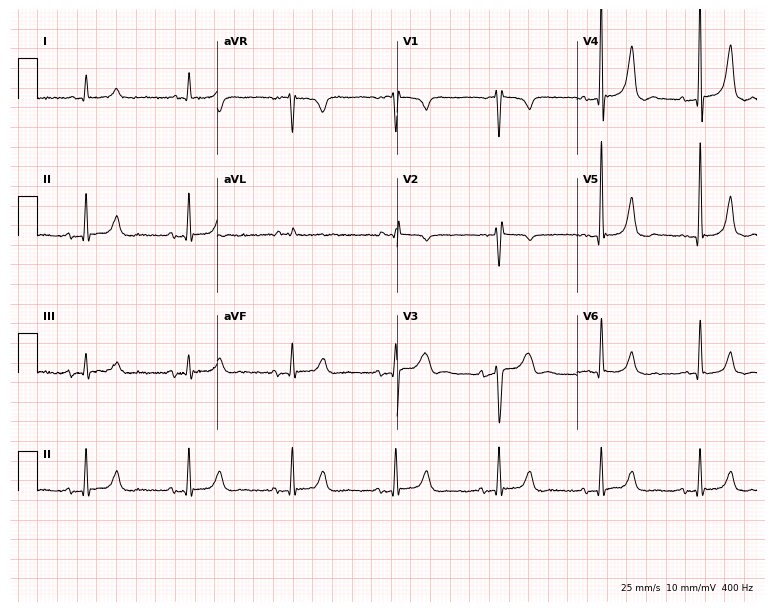
Electrocardiogram (7.3-second recording at 400 Hz), a man, 71 years old. Overall reading on record: normal ECG.